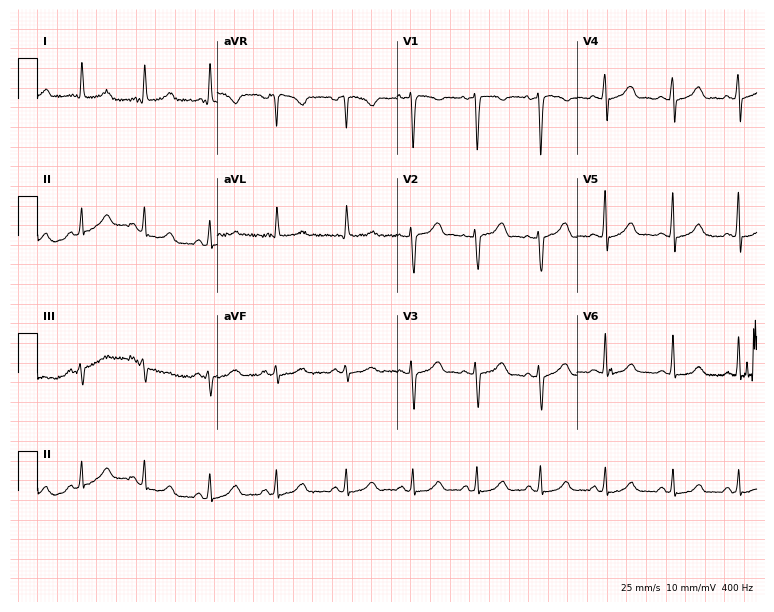
Standard 12-lead ECG recorded from a female patient, 36 years old (7.3-second recording at 400 Hz). Read as a normal ECG.